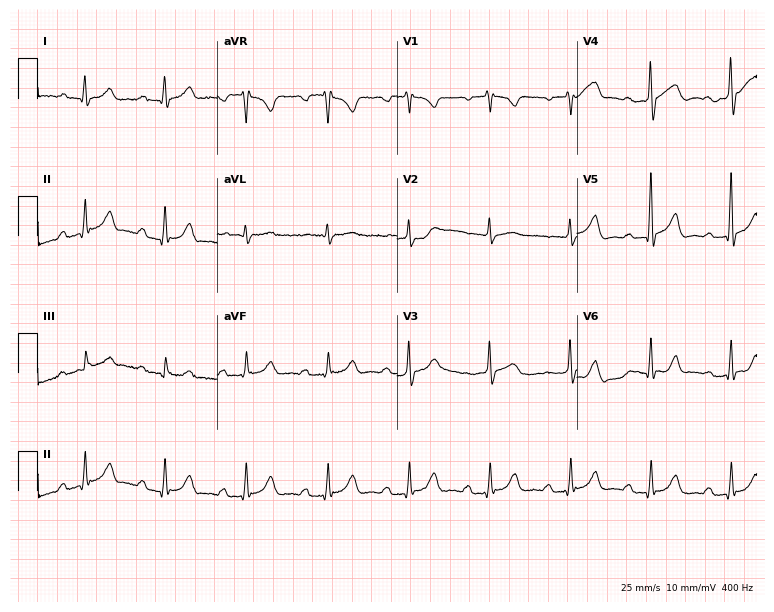
Resting 12-lead electrocardiogram. Patient: a male, 59 years old. The tracing shows first-degree AV block.